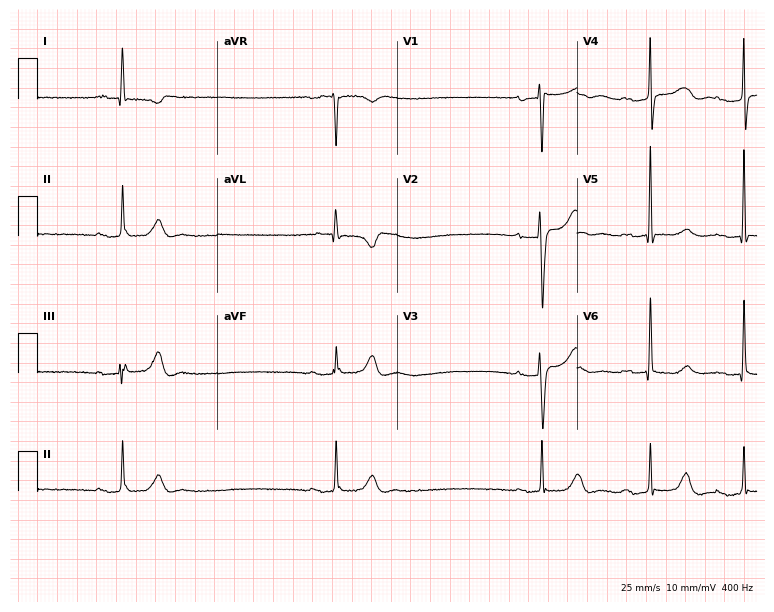
Standard 12-lead ECG recorded from a 60-year-old woman (7.3-second recording at 400 Hz). None of these six findings is recorded: first-degree AV block, right bundle branch block, left bundle branch block, sinus bradycardia, atrial fibrillation, sinus tachycardia.